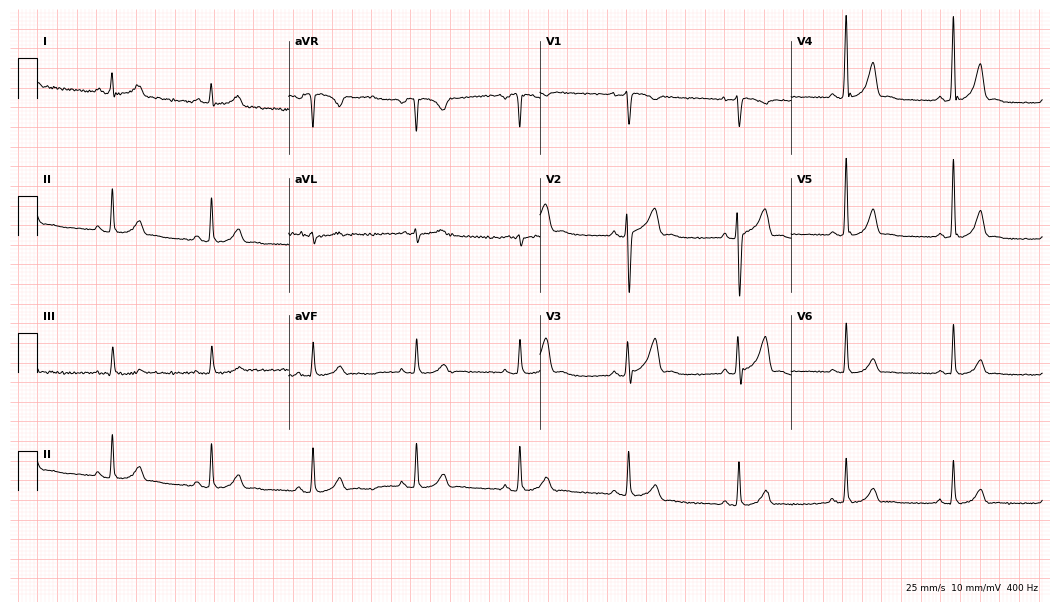
Electrocardiogram (10.2-second recording at 400 Hz), a 33-year-old man. Overall reading on record: normal ECG.